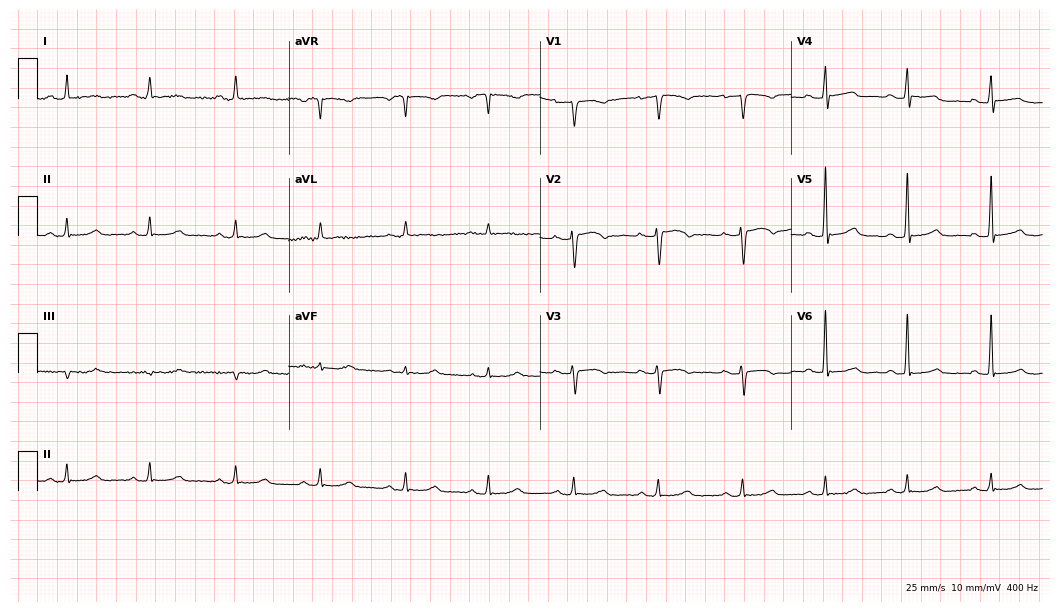
12-lead ECG from a 72-year-old woman. Screened for six findings — first-degree AV block, right bundle branch block, left bundle branch block, sinus bradycardia, atrial fibrillation, sinus tachycardia — none is recorded. Findings outside these six are not listed.